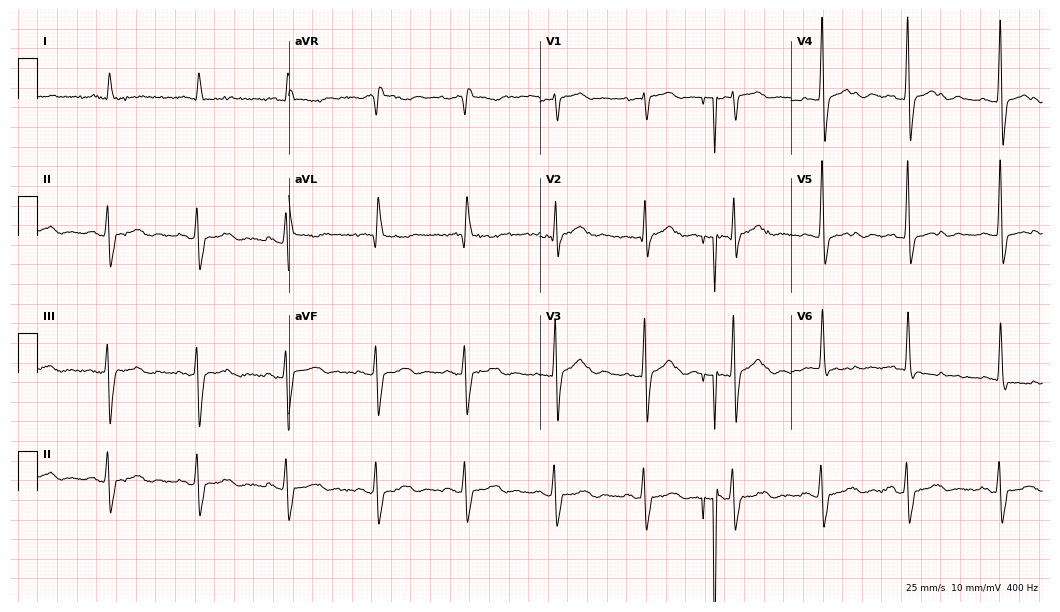
12-lead ECG from a man, 80 years old (10.2-second recording at 400 Hz). Shows right bundle branch block.